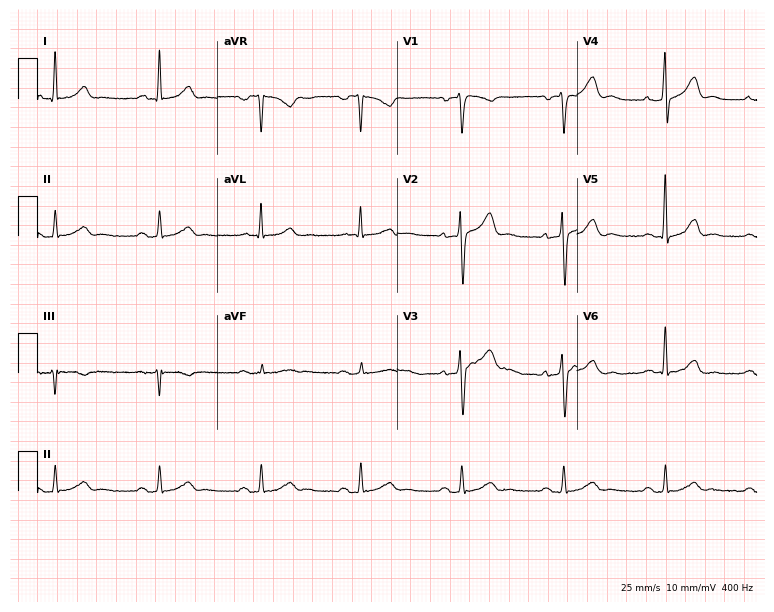
Electrocardiogram (7.3-second recording at 400 Hz), a 69-year-old male. Overall reading on record: normal ECG.